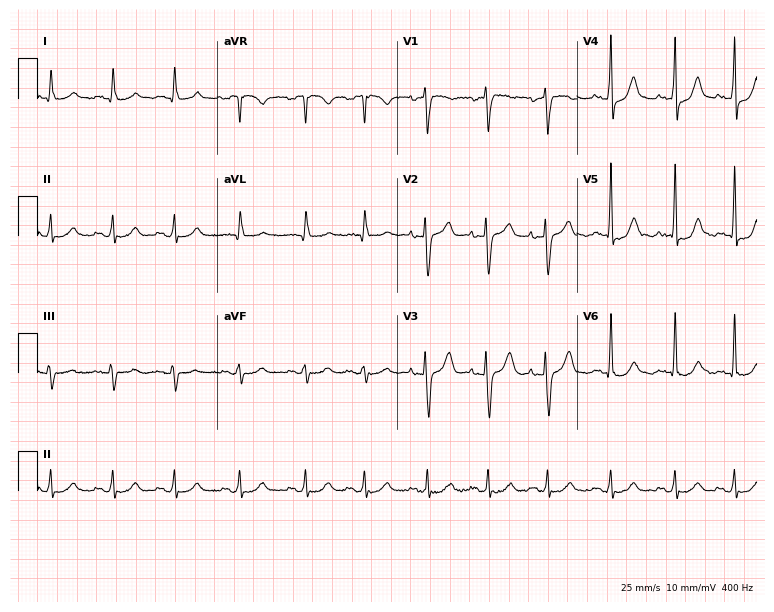
12-lead ECG from an 84-year-old male (7.3-second recording at 400 Hz). No first-degree AV block, right bundle branch block (RBBB), left bundle branch block (LBBB), sinus bradycardia, atrial fibrillation (AF) or sinus tachycardia recorded for this tracing. Findings outside these six are not listed.